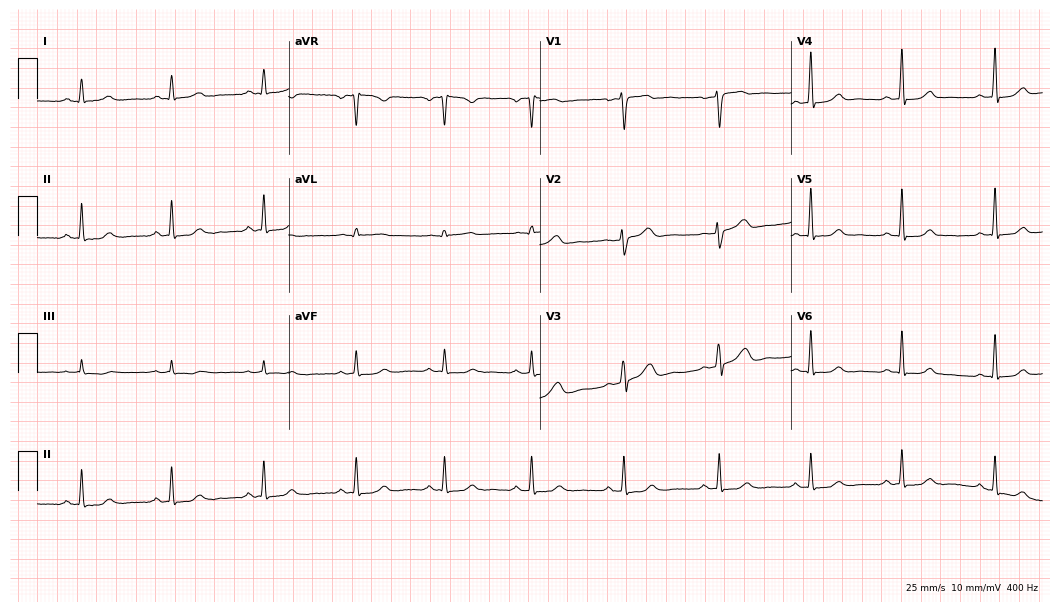
Resting 12-lead electrocardiogram (10.2-second recording at 400 Hz). Patient: a 32-year-old female. Read as a normal ECG.